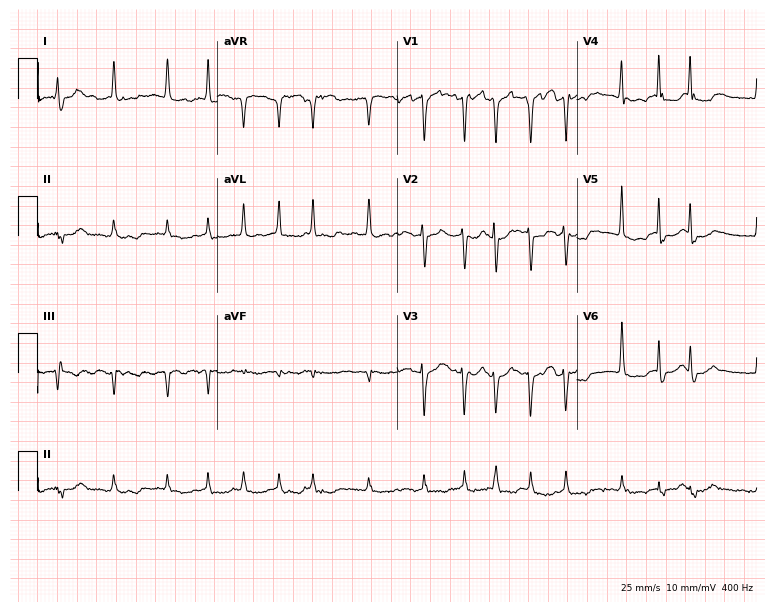
12-lead ECG (7.3-second recording at 400 Hz) from an 81-year-old woman. Findings include atrial fibrillation.